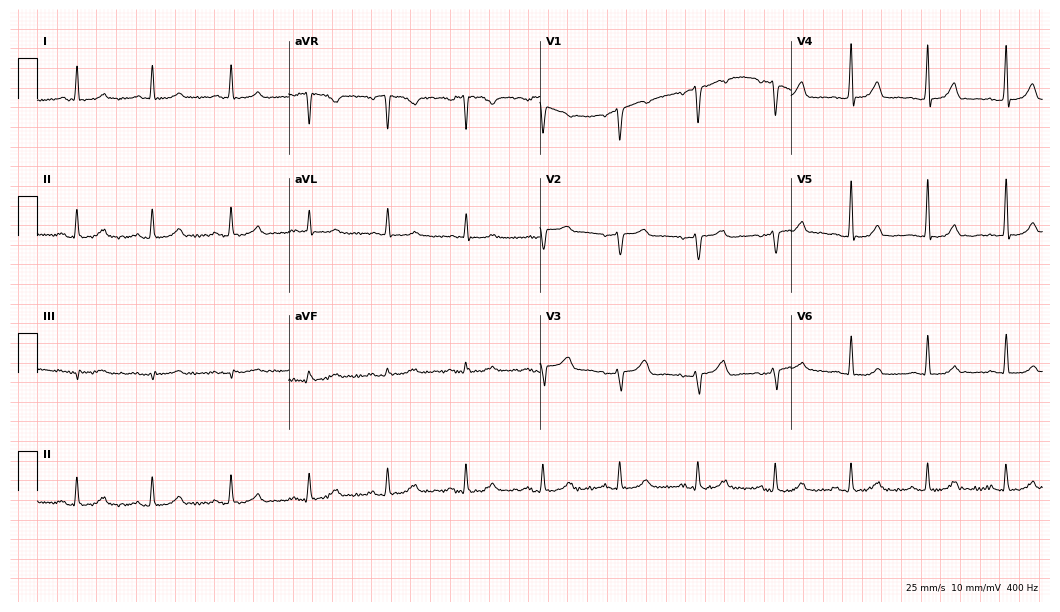
Standard 12-lead ECG recorded from a 44-year-old female. Read as a normal ECG.